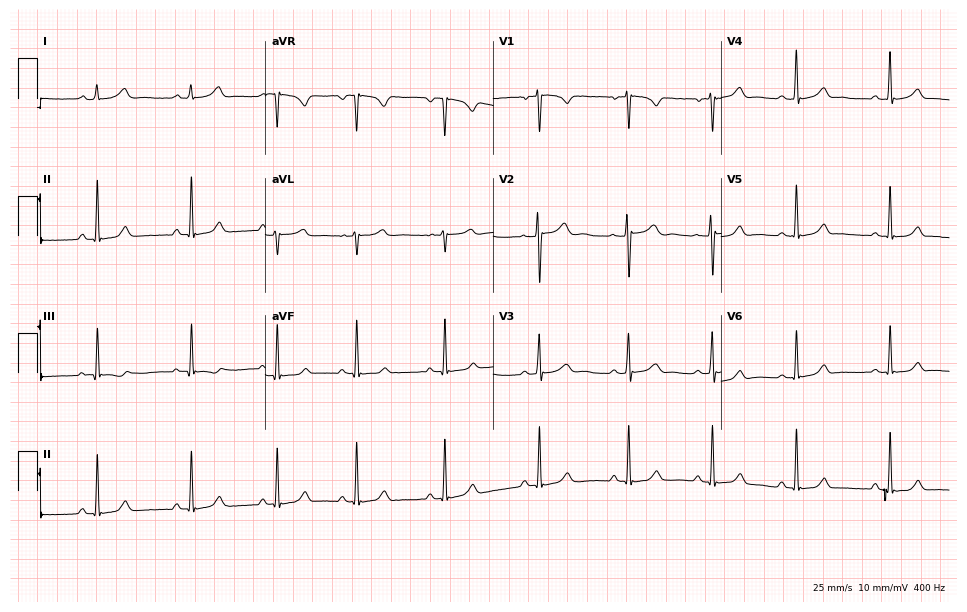
Resting 12-lead electrocardiogram (9.3-second recording at 400 Hz). Patient: a 24-year-old female. None of these six findings is recorded: first-degree AV block, right bundle branch block (RBBB), left bundle branch block (LBBB), sinus bradycardia, atrial fibrillation (AF), sinus tachycardia.